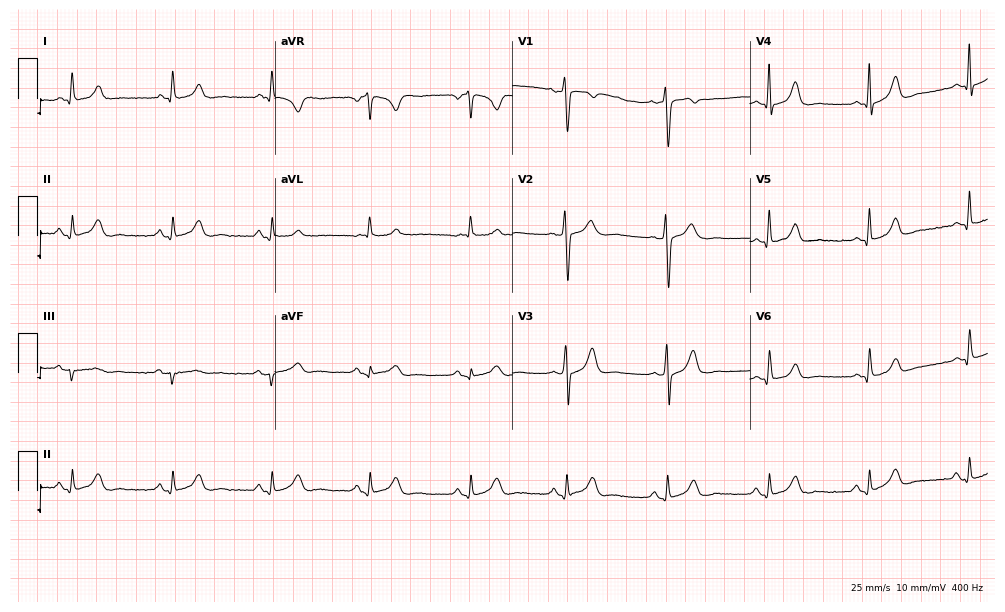
Resting 12-lead electrocardiogram. Patient: a 52-year-old female. None of these six findings is recorded: first-degree AV block, right bundle branch block (RBBB), left bundle branch block (LBBB), sinus bradycardia, atrial fibrillation (AF), sinus tachycardia.